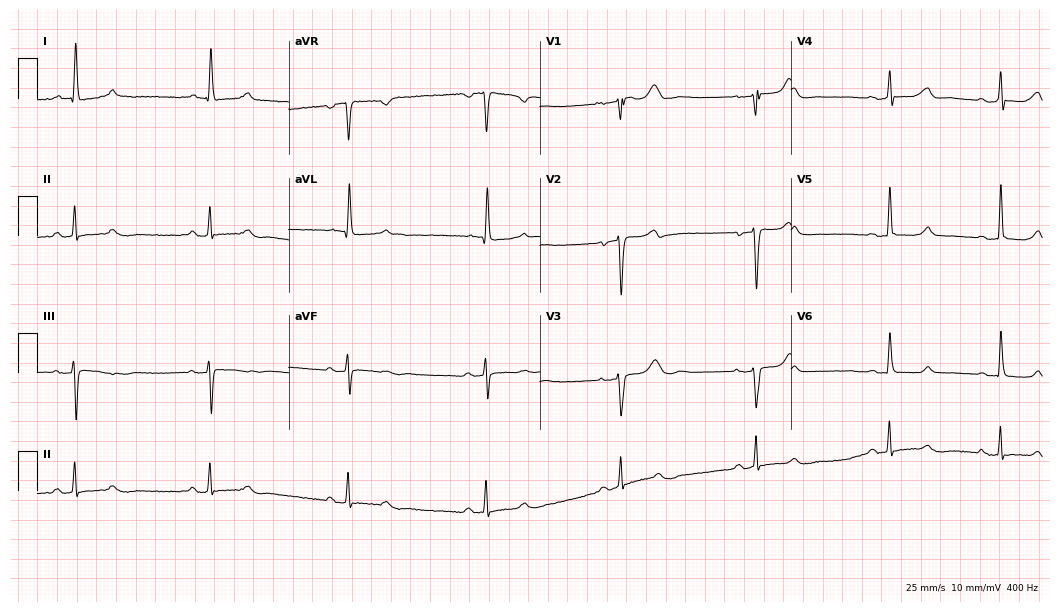
12-lead ECG from a female patient, 73 years old. Findings include sinus bradycardia (a sinus rate of 50 beats per minute or less).